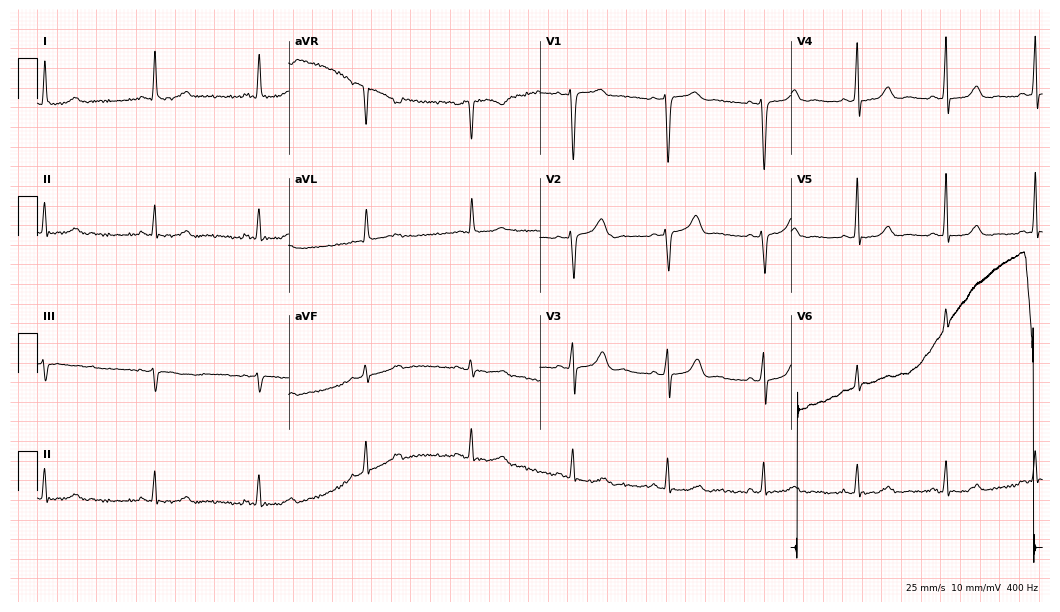
12-lead ECG from a 60-year-old female. Screened for six findings — first-degree AV block, right bundle branch block (RBBB), left bundle branch block (LBBB), sinus bradycardia, atrial fibrillation (AF), sinus tachycardia — none is recorded. Other findings, if any, are not listed.